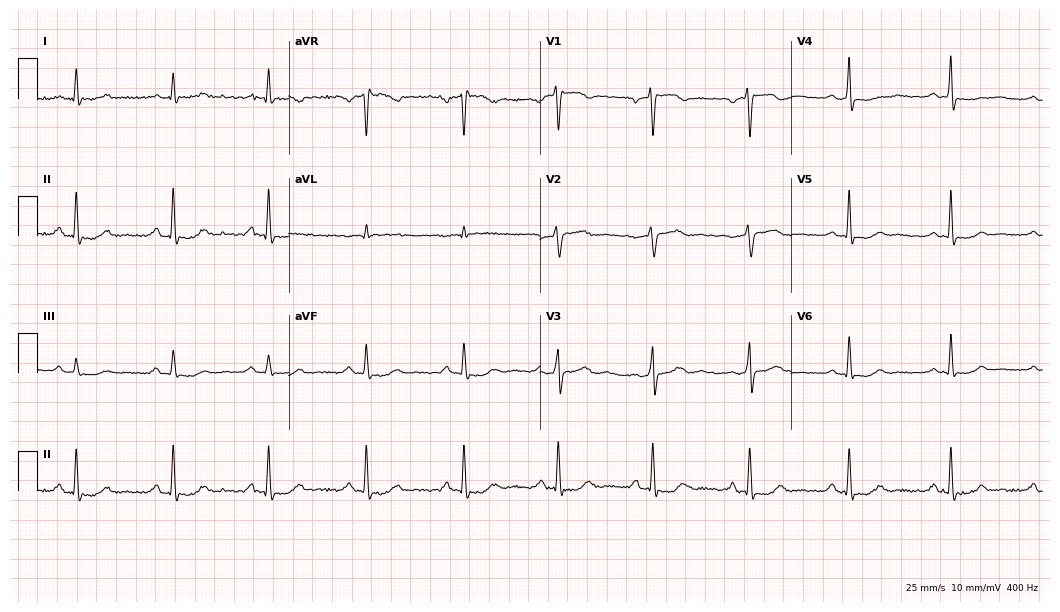
Resting 12-lead electrocardiogram. Patient: a female, 48 years old. None of these six findings is recorded: first-degree AV block, right bundle branch block, left bundle branch block, sinus bradycardia, atrial fibrillation, sinus tachycardia. Findings outside these six are not listed.